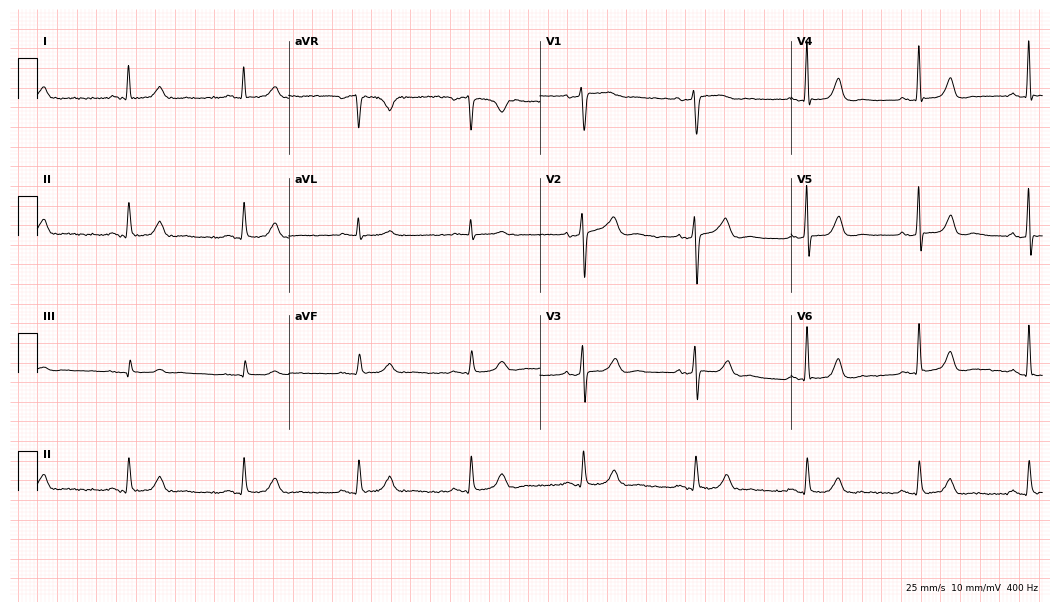
Electrocardiogram, a male, 67 years old. Overall reading on record: normal ECG.